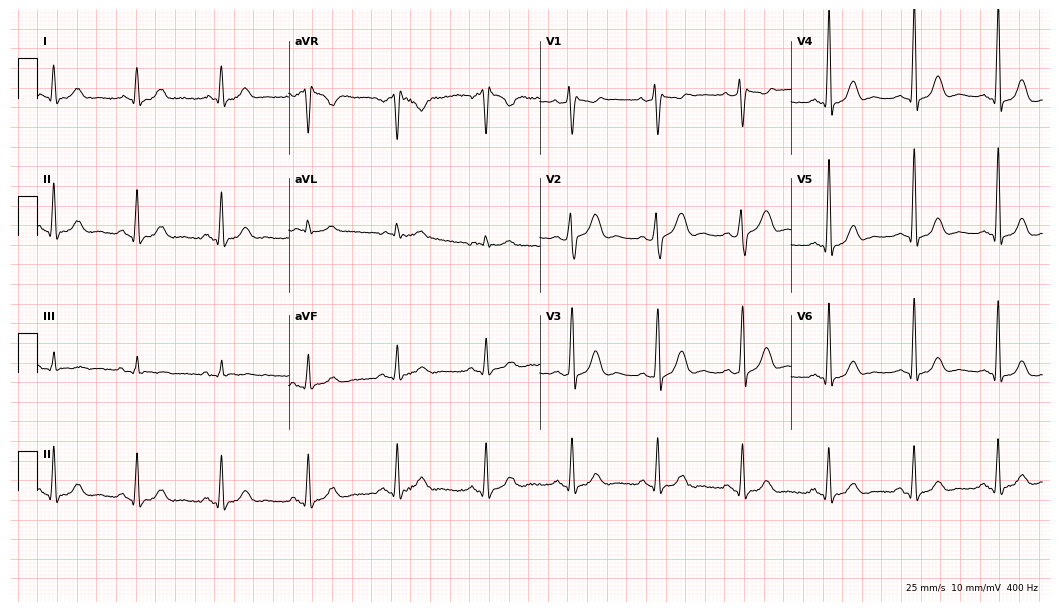
ECG — a 53-year-old male patient. Screened for six findings — first-degree AV block, right bundle branch block, left bundle branch block, sinus bradycardia, atrial fibrillation, sinus tachycardia — none is recorded. Only these six findings were labelled.